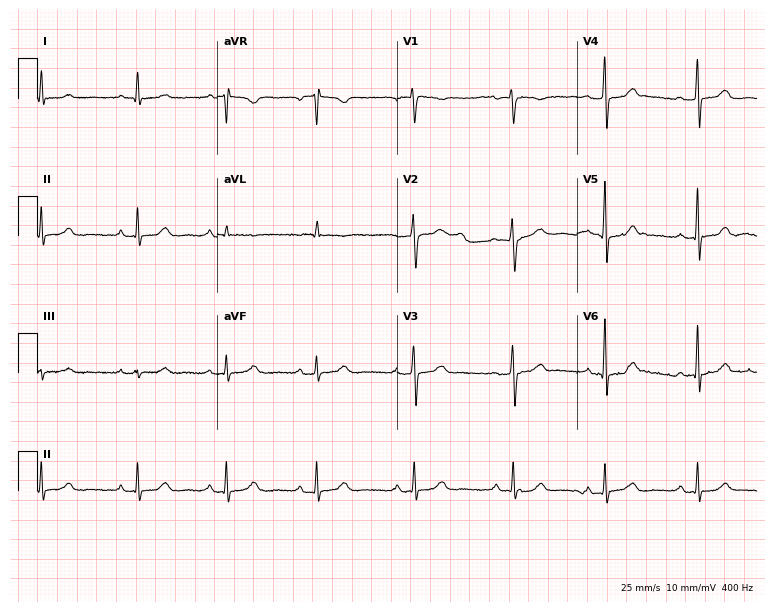
Electrocardiogram (7.3-second recording at 400 Hz), a woman, 43 years old. Overall reading on record: normal ECG.